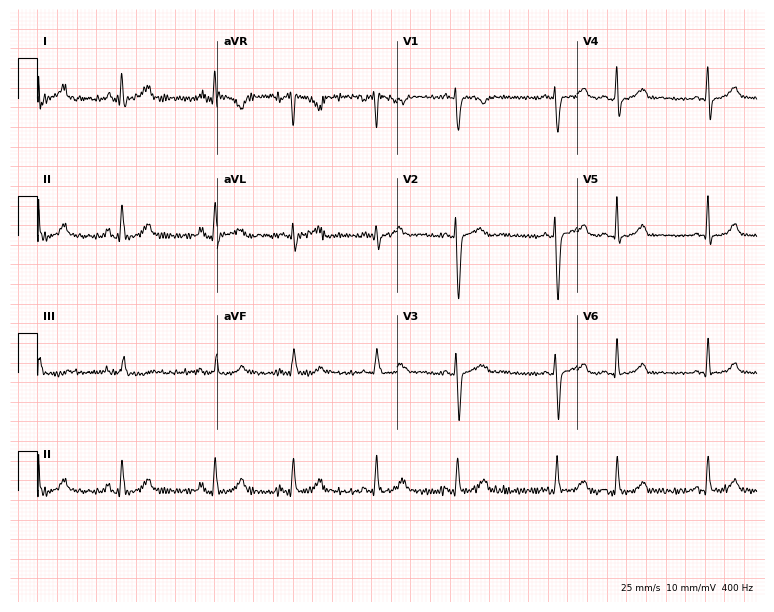
12-lead ECG from a 29-year-old female. No first-degree AV block, right bundle branch block (RBBB), left bundle branch block (LBBB), sinus bradycardia, atrial fibrillation (AF) or sinus tachycardia recorded for this tracing.